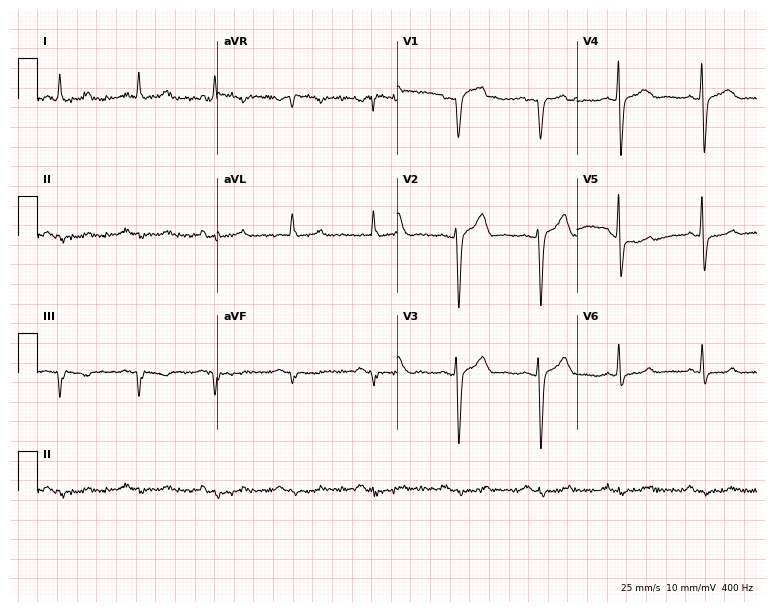
ECG (7.3-second recording at 400 Hz) — a 54-year-old male patient. Screened for six findings — first-degree AV block, right bundle branch block, left bundle branch block, sinus bradycardia, atrial fibrillation, sinus tachycardia — none is recorded.